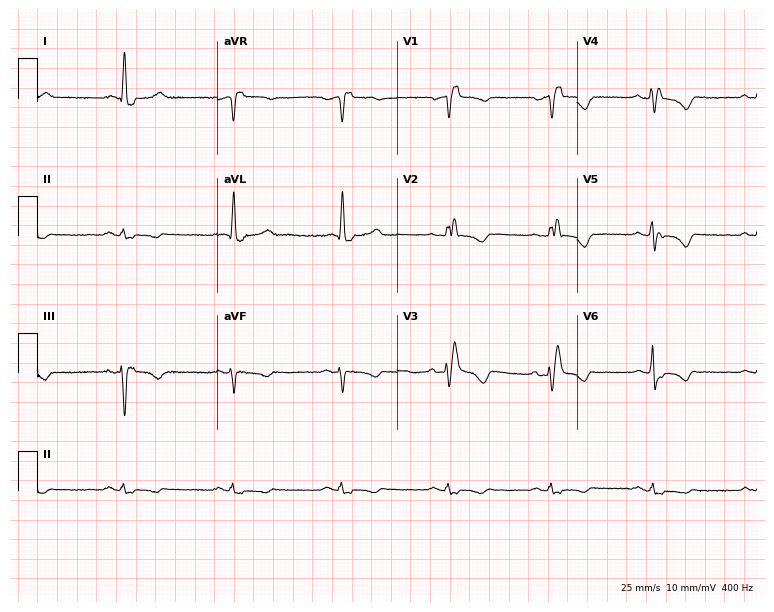
12-lead ECG from a female patient, 66 years old. Findings include right bundle branch block.